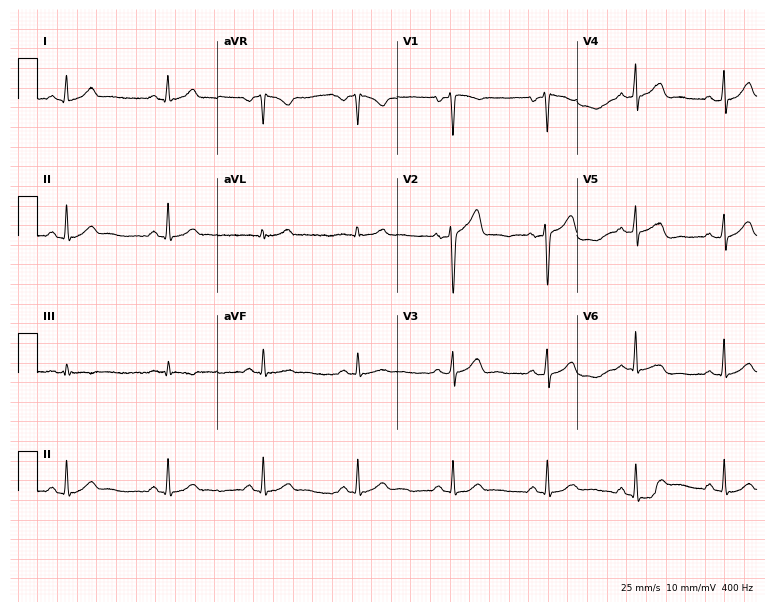
Electrocardiogram (7.3-second recording at 400 Hz), a 38-year-old man. Of the six screened findings (first-degree AV block, right bundle branch block, left bundle branch block, sinus bradycardia, atrial fibrillation, sinus tachycardia), none is recorded.